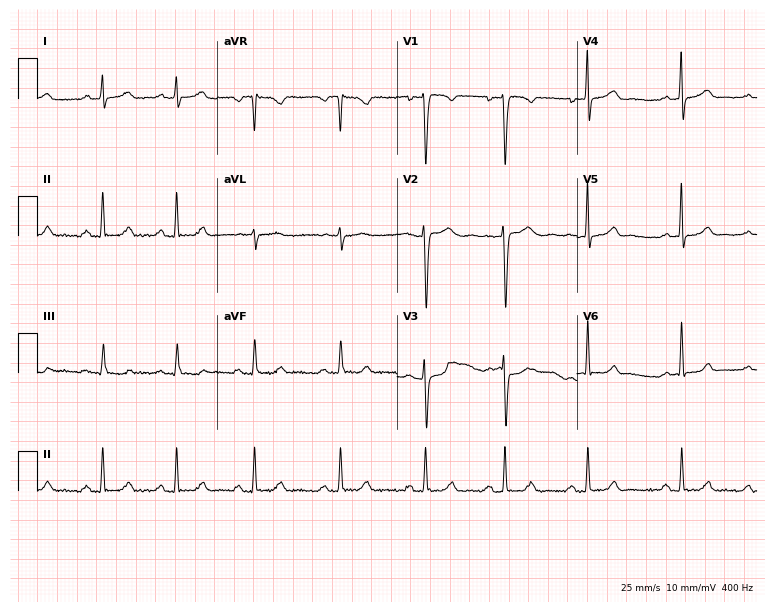
12-lead ECG from a 29-year-old female (7.3-second recording at 400 Hz). Recorded interpretation: within normal limits.